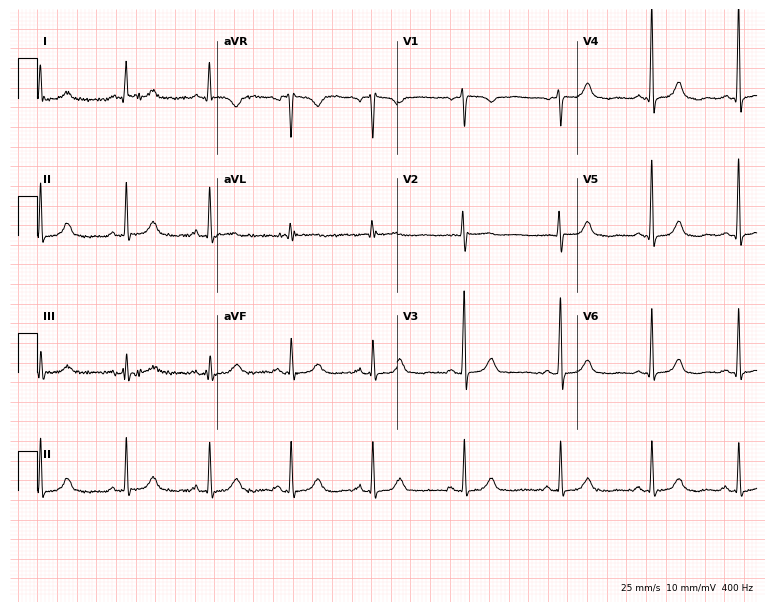
12-lead ECG from a female, 63 years old. Screened for six findings — first-degree AV block, right bundle branch block, left bundle branch block, sinus bradycardia, atrial fibrillation, sinus tachycardia — none is recorded.